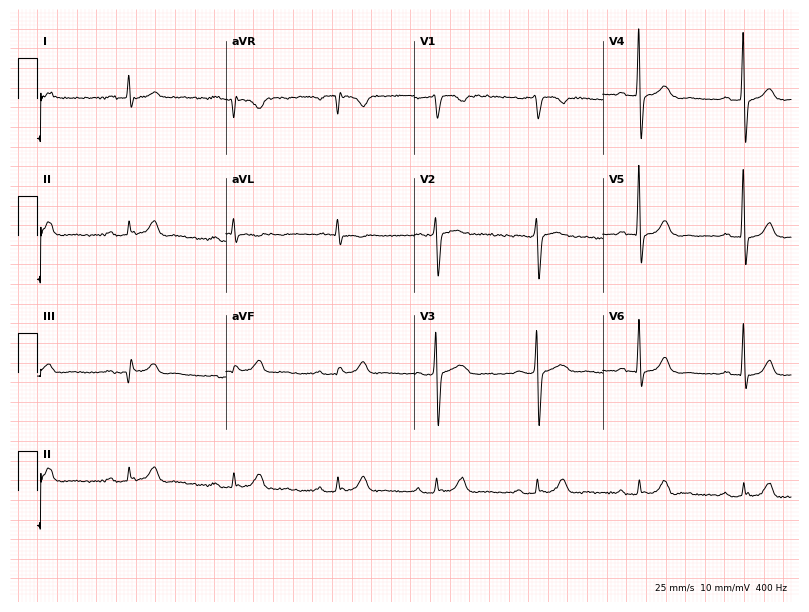
Resting 12-lead electrocardiogram (7.7-second recording at 400 Hz). Patient: a 74-year-old male. None of these six findings is recorded: first-degree AV block, right bundle branch block (RBBB), left bundle branch block (LBBB), sinus bradycardia, atrial fibrillation (AF), sinus tachycardia.